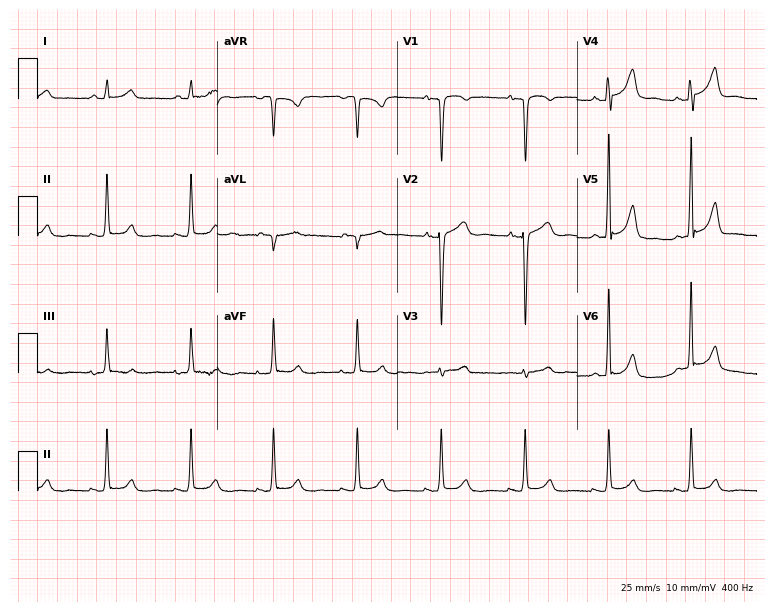
Electrocardiogram, a woman, 52 years old. Overall reading on record: normal ECG.